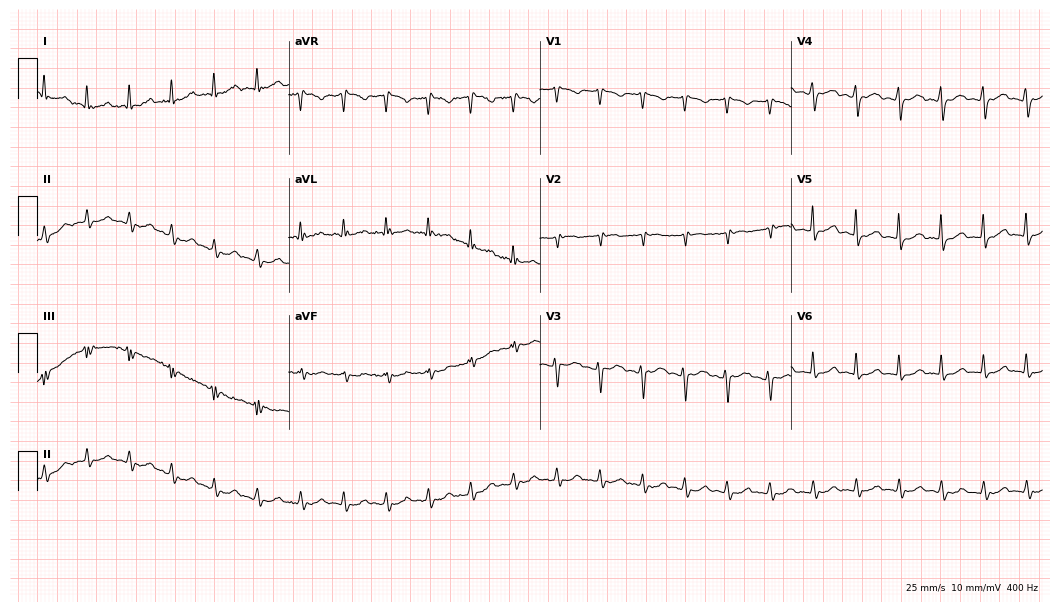
12-lead ECG from a 59-year-old female. Findings include atrial fibrillation (AF).